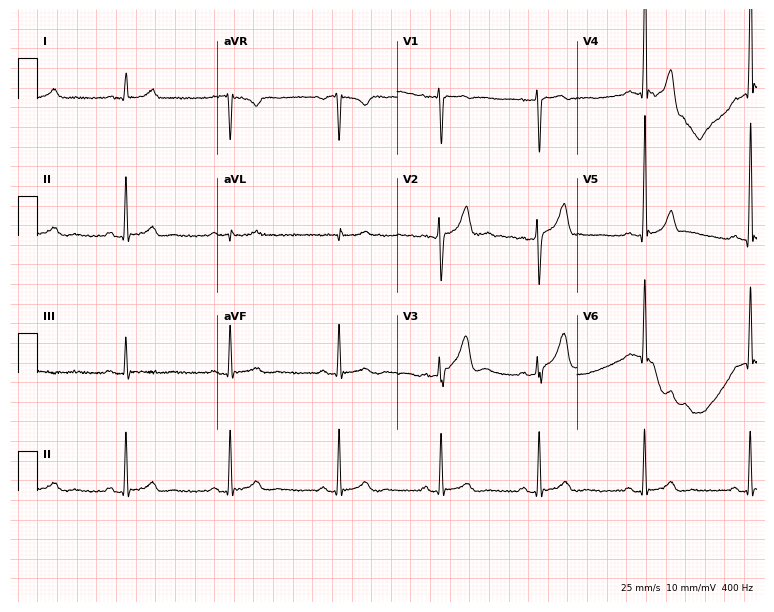
Electrocardiogram (7.3-second recording at 400 Hz), a 25-year-old male patient. Of the six screened findings (first-degree AV block, right bundle branch block (RBBB), left bundle branch block (LBBB), sinus bradycardia, atrial fibrillation (AF), sinus tachycardia), none is recorded. Only these six findings were labelled.